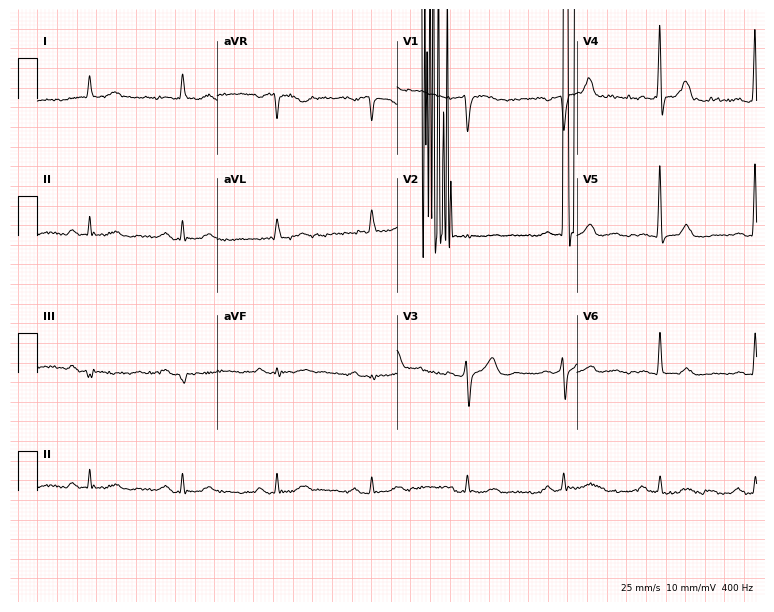
12-lead ECG from a man, 79 years old. Screened for six findings — first-degree AV block, right bundle branch block (RBBB), left bundle branch block (LBBB), sinus bradycardia, atrial fibrillation (AF), sinus tachycardia — none is recorded.